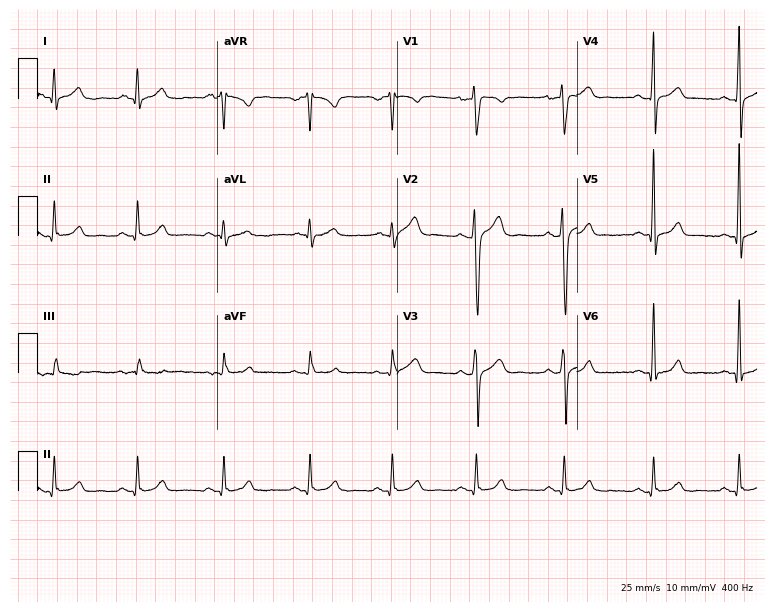
12-lead ECG from a 34-year-old male patient. No first-degree AV block, right bundle branch block, left bundle branch block, sinus bradycardia, atrial fibrillation or sinus tachycardia recorded for this tracing.